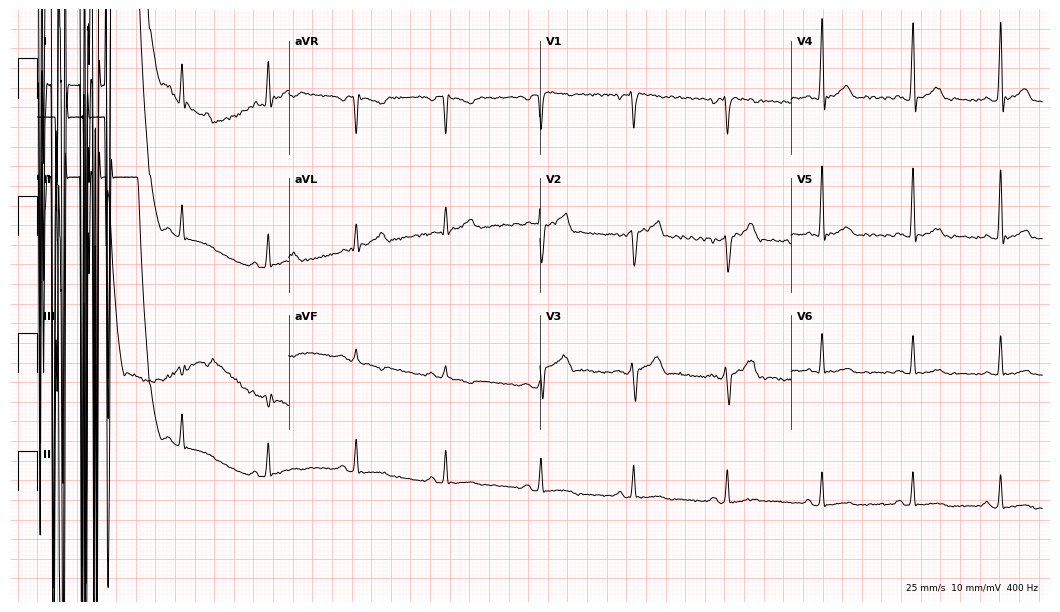
Resting 12-lead electrocardiogram. Patient: a 44-year-old male. None of these six findings is recorded: first-degree AV block, right bundle branch block (RBBB), left bundle branch block (LBBB), sinus bradycardia, atrial fibrillation (AF), sinus tachycardia.